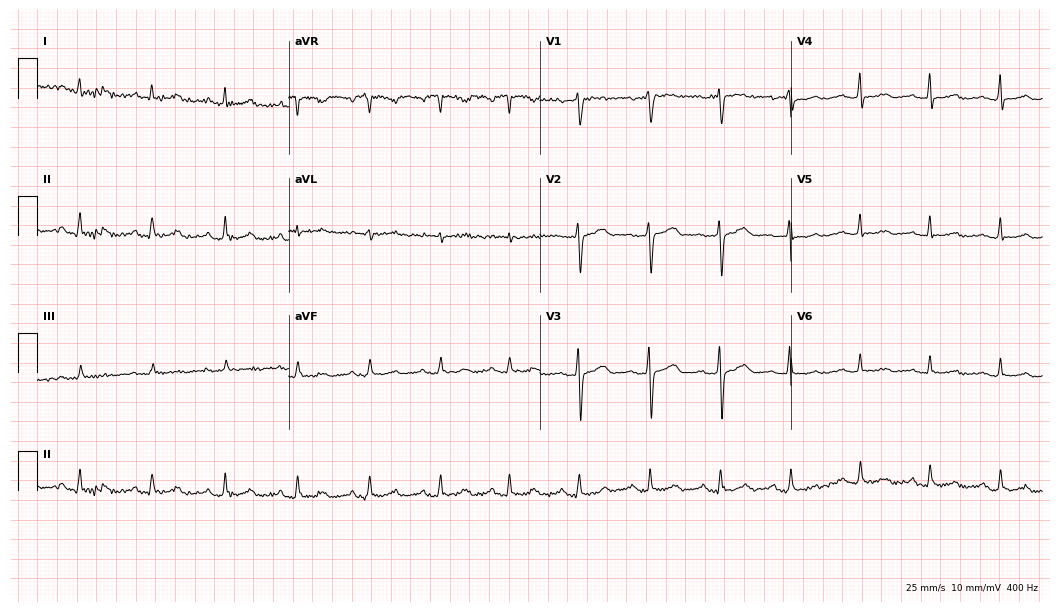
ECG — a female, 56 years old. Labelled as a normal ECG.